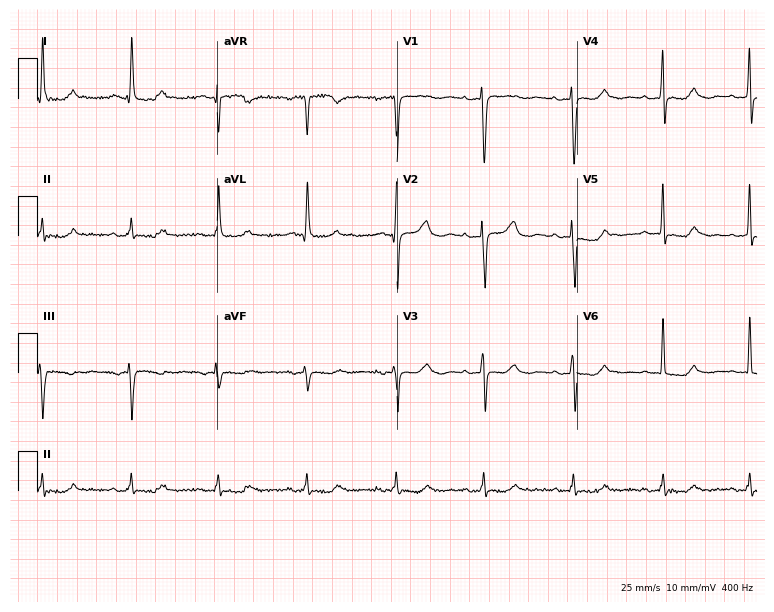
Resting 12-lead electrocardiogram. Patient: a 75-year-old female. None of these six findings is recorded: first-degree AV block, right bundle branch block, left bundle branch block, sinus bradycardia, atrial fibrillation, sinus tachycardia.